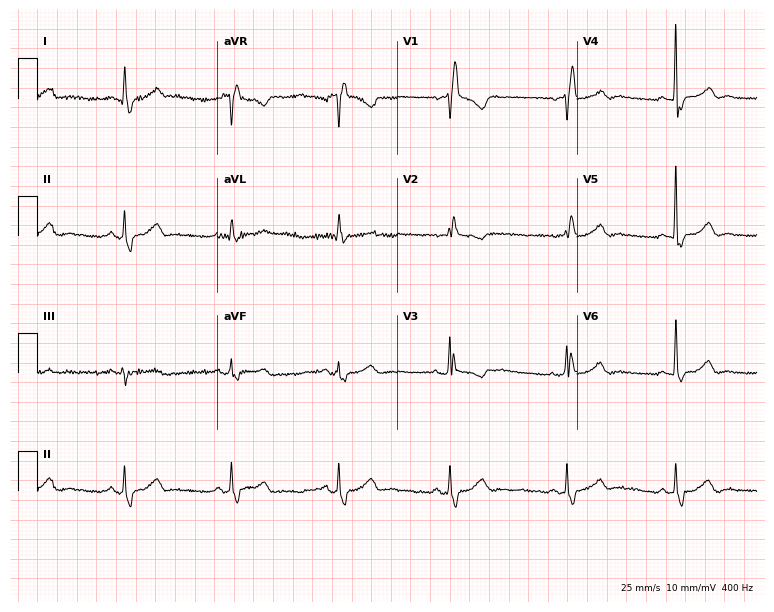
Electrocardiogram (7.3-second recording at 400 Hz), a 55-year-old female. Interpretation includes right bundle branch block.